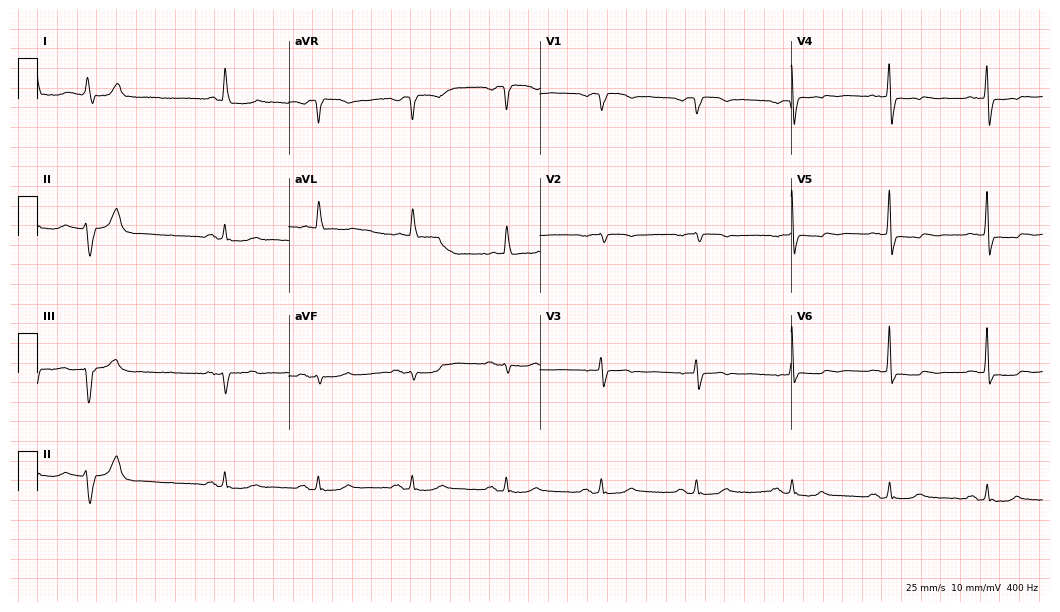
Electrocardiogram (10.2-second recording at 400 Hz), a female patient, 85 years old. Of the six screened findings (first-degree AV block, right bundle branch block, left bundle branch block, sinus bradycardia, atrial fibrillation, sinus tachycardia), none is recorded.